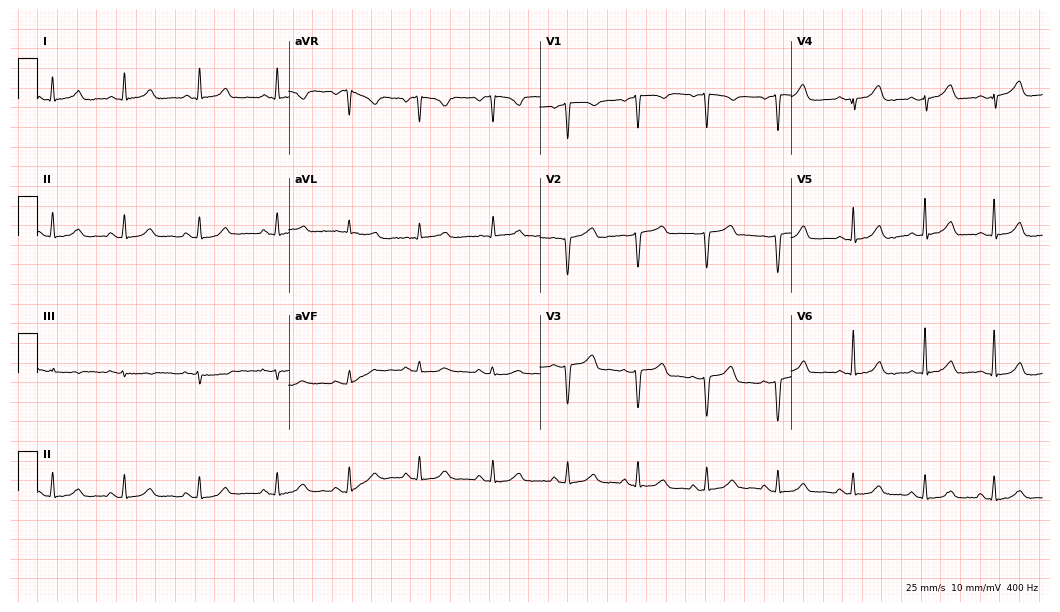
12-lead ECG from a 42-year-old woman. Screened for six findings — first-degree AV block, right bundle branch block, left bundle branch block, sinus bradycardia, atrial fibrillation, sinus tachycardia — none is recorded.